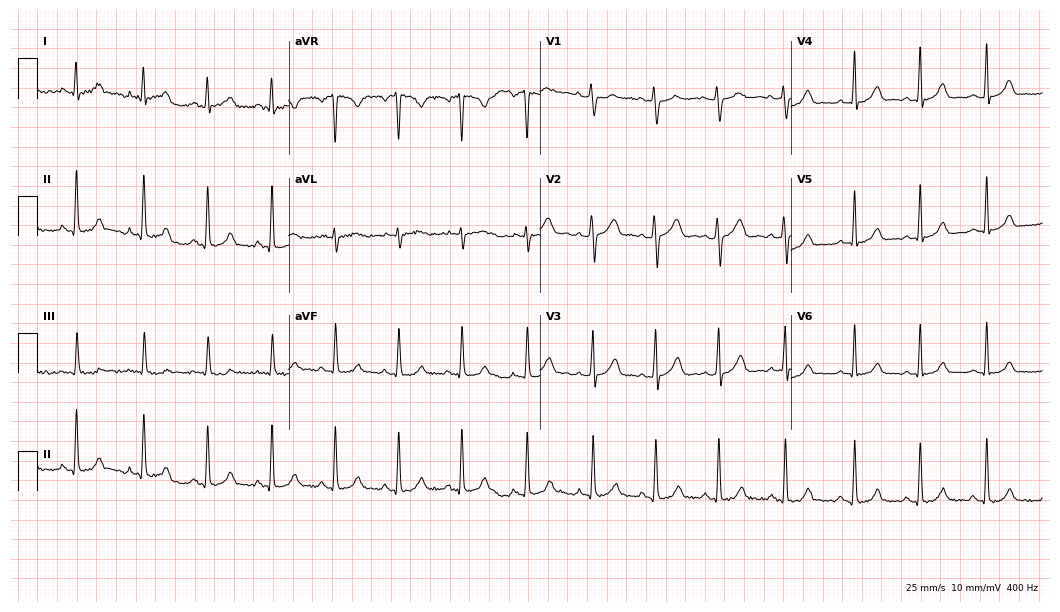
ECG (10.2-second recording at 400 Hz) — a 20-year-old female patient. Labelled as a normal ECG.